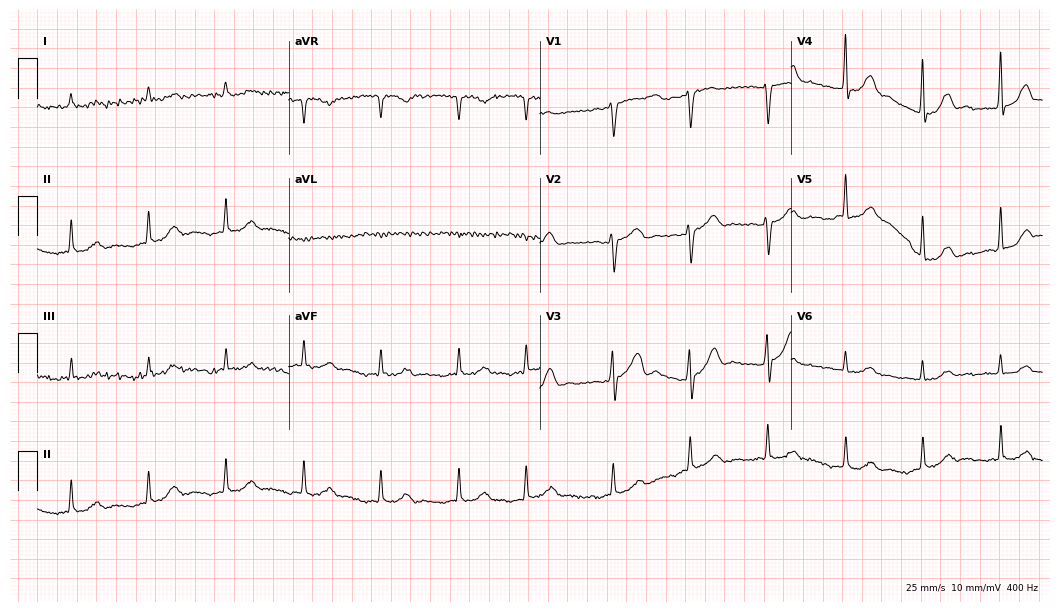
Electrocardiogram, a man, 81 years old. Of the six screened findings (first-degree AV block, right bundle branch block (RBBB), left bundle branch block (LBBB), sinus bradycardia, atrial fibrillation (AF), sinus tachycardia), none is recorded. Findings outside these six are not listed.